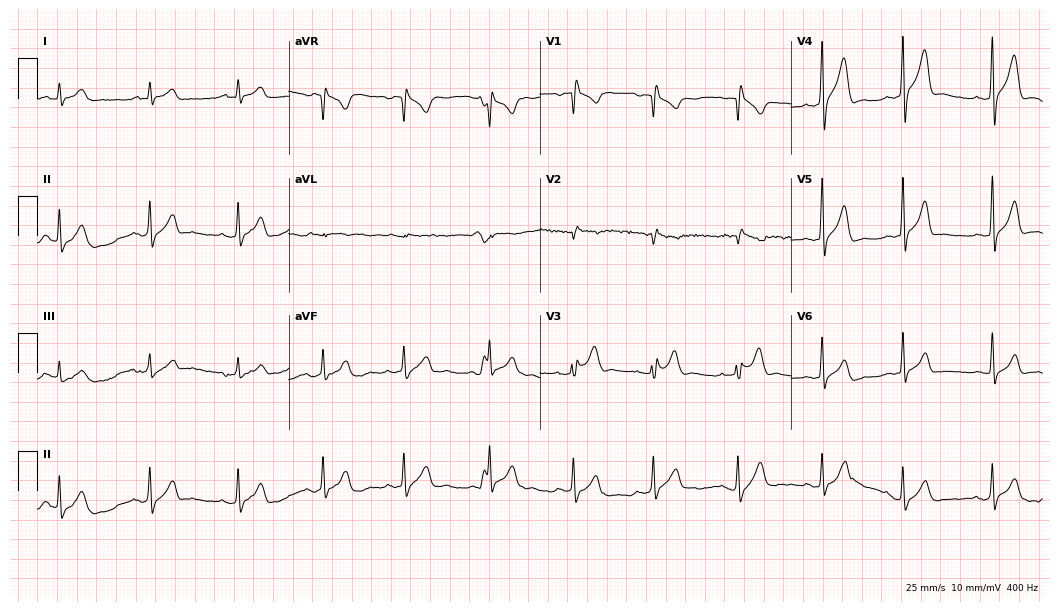
ECG — a male patient, 27 years old. Screened for six findings — first-degree AV block, right bundle branch block, left bundle branch block, sinus bradycardia, atrial fibrillation, sinus tachycardia — none is recorded.